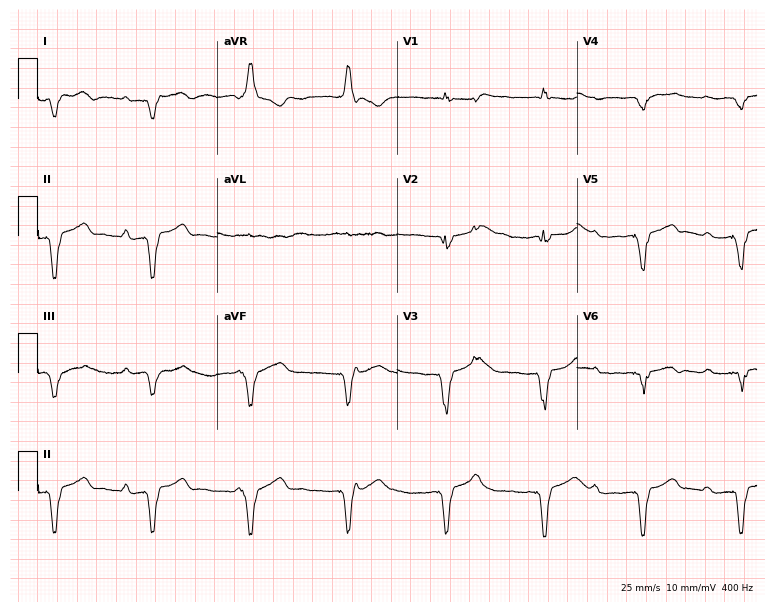
ECG — a woman, 78 years old. Screened for six findings — first-degree AV block, right bundle branch block, left bundle branch block, sinus bradycardia, atrial fibrillation, sinus tachycardia — none is recorded. Only these six findings were labelled.